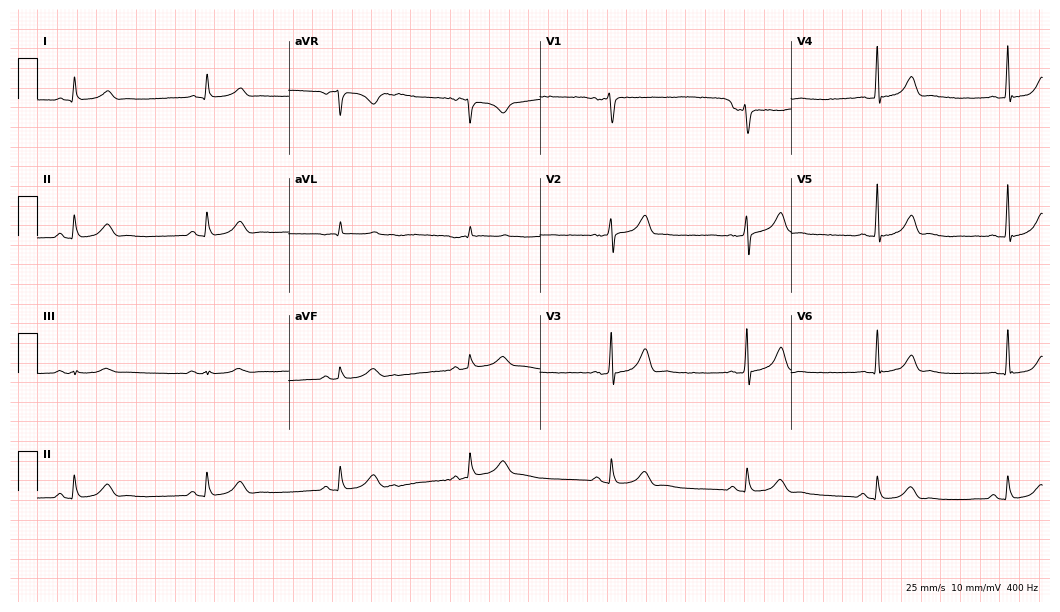
12-lead ECG from a male patient, 60 years old (10.2-second recording at 400 Hz). Shows sinus bradycardia (a sinus rate of 50 beats per minute or less).